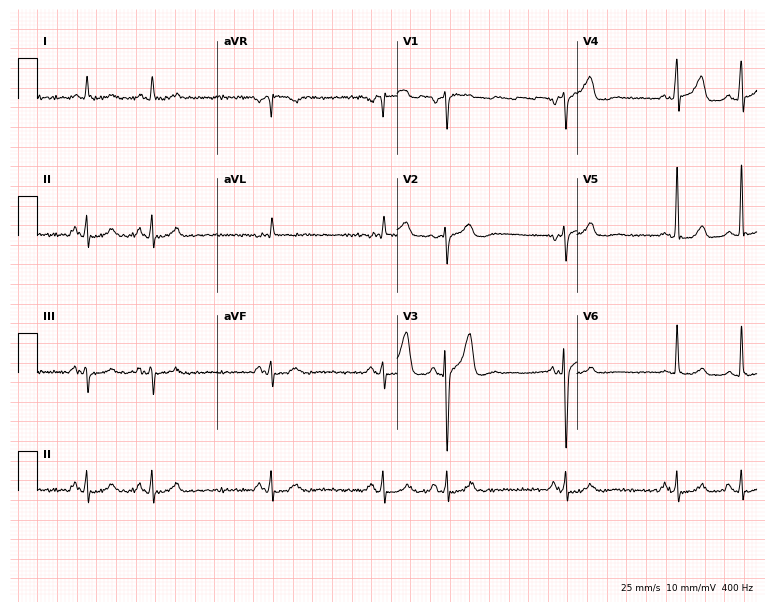
Electrocardiogram (7.3-second recording at 400 Hz), a male patient, 72 years old. Of the six screened findings (first-degree AV block, right bundle branch block (RBBB), left bundle branch block (LBBB), sinus bradycardia, atrial fibrillation (AF), sinus tachycardia), none is recorded. Other findings, if any, are not listed.